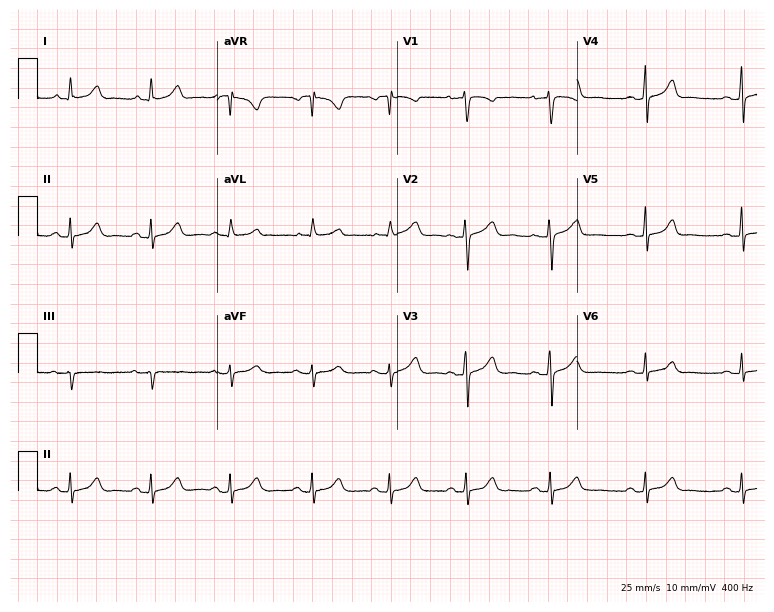
Resting 12-lead electrocardiogram. Patient: a 41-year-old female. Read as a normal ECG.